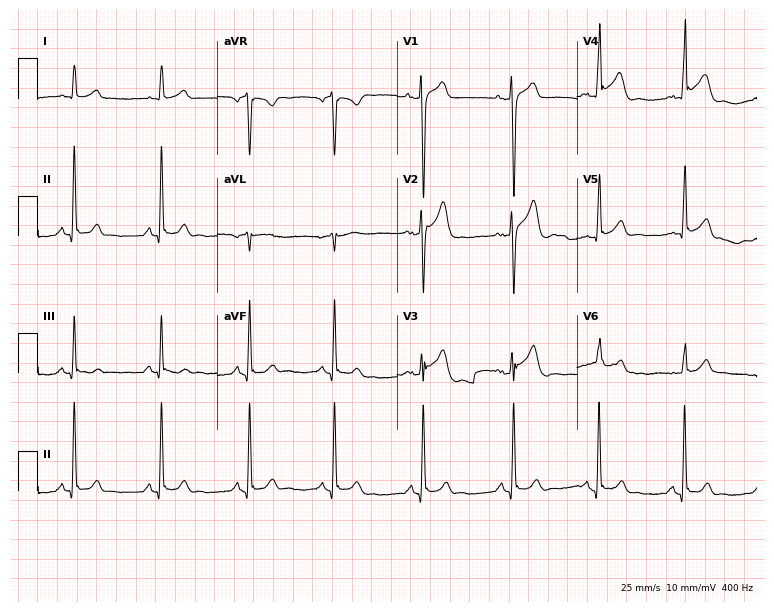
12-lead ECG from a man, 28 years old. Screened for six findings — first-degree AV block, right bundle branch block, left bundle branch block, sinus bradycardia, atrial fibrillation, sinus tachycardia — none is recorded. Only these six findings were labelled.